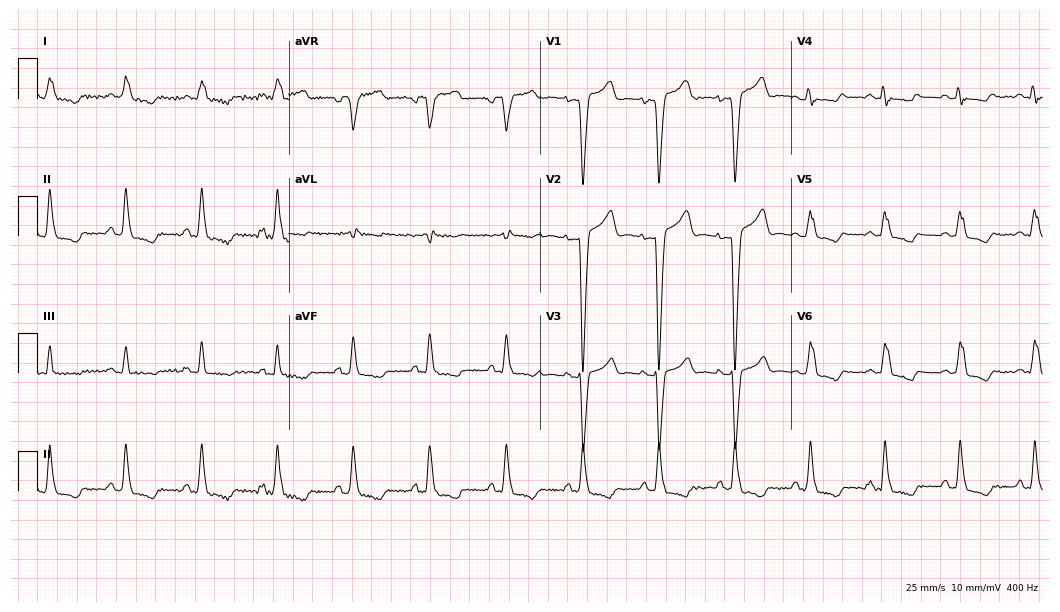
12-lead ECG from a 76-year-old female. Shows left bundle branch block (LBBB).